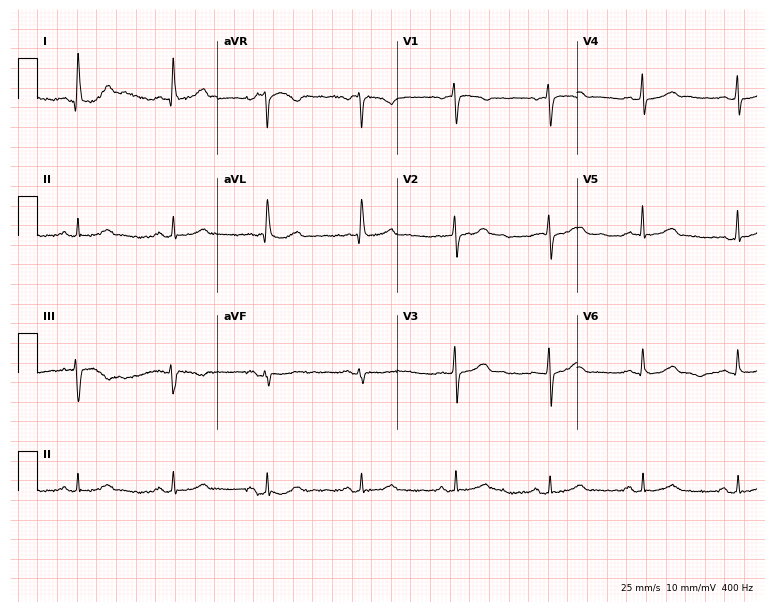
Resting 12-lead electrocardiogram. Patient: a 59-year-old woman. Read as a normal ECG.